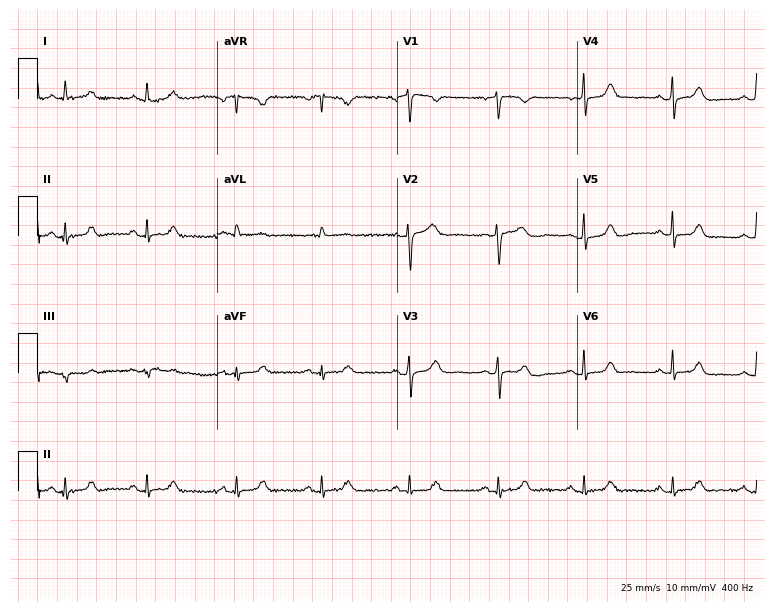
Electrocardiogram, a 60-year-old female. Overall reading on record: normal ECG.